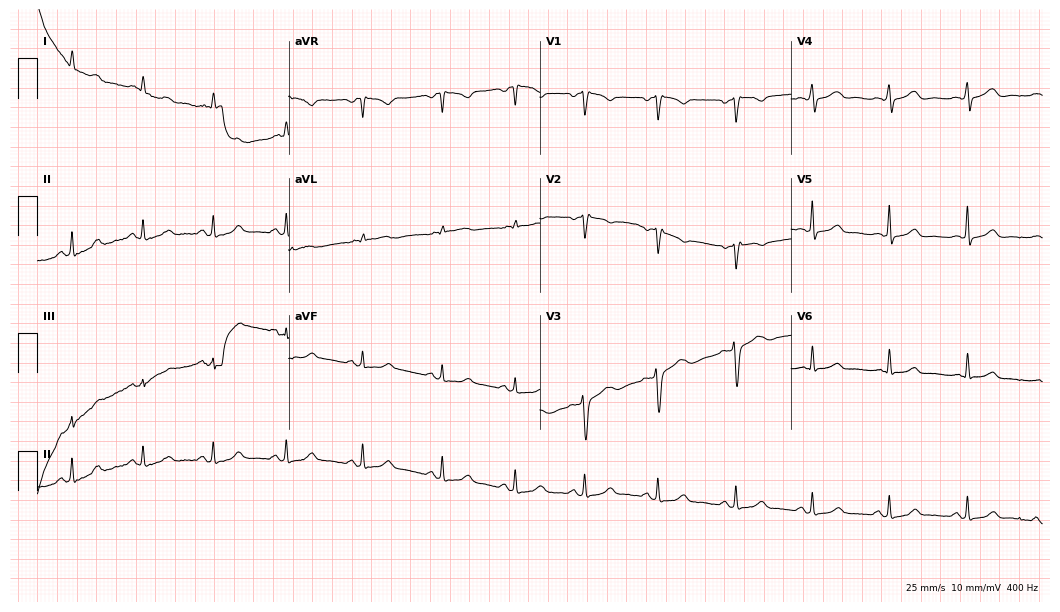
Standard 12-lead ECG recorded from a 43-year-old female (10.2-second recording at 400 Hz). None of these six findings is recorded: first-degree AV block, right bundle branch block, left bundle branch block, sinus bradycardia, atrial fibrillation, sinus tachycardia.